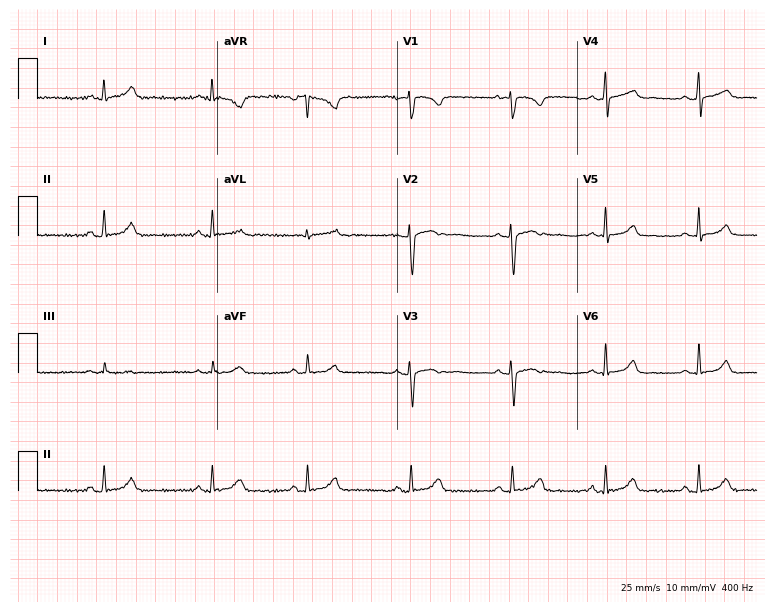
Standard 12-lead ECG recorded from a 21-year-old female. Read as a normal ECG.